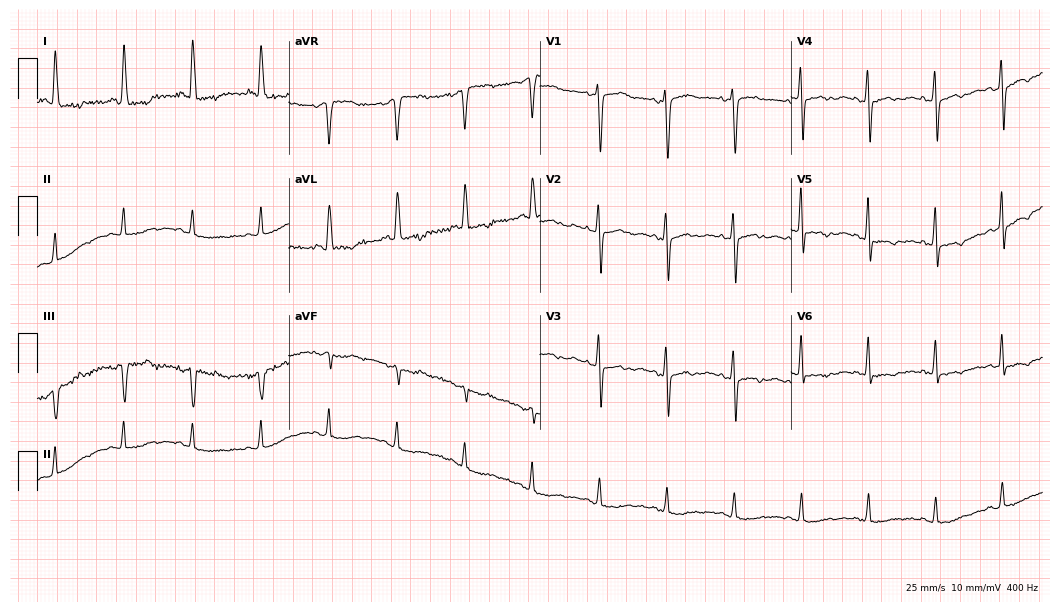
Electrocardiogram (10.2-second recording at 400 Hz), a 63-year-old female. Of the six screened findings (first-degree AV block, right bundle branch block (RBBB), left bundle branch block (LBBB), sinus bradycardia, atrial fibrillation (AF), sinus tachycardia), none is recorded.